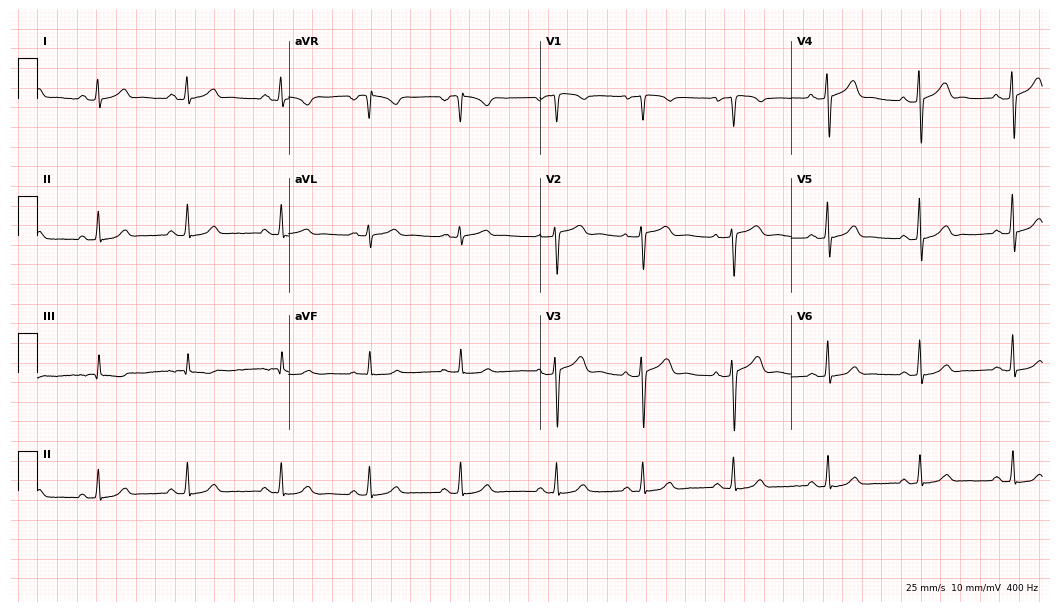
Electrocardiogram (10.2-second recording at 400 Hz), a woman, 35 years old. Overall reading on record: normal ECG.